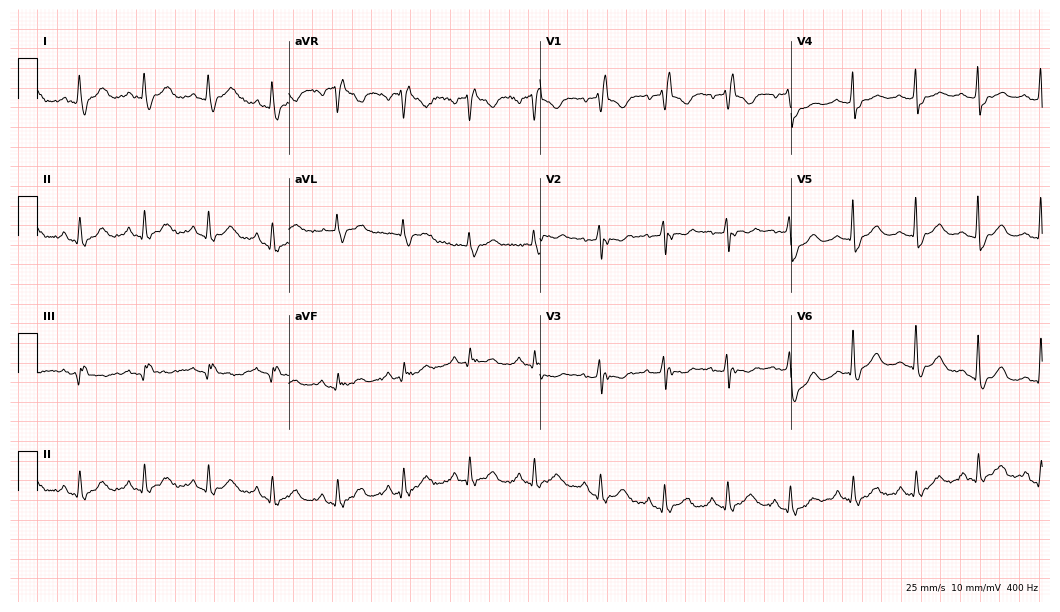
12-lead ECG (10.2-second recording at 400 Hz) from a female patient, 62 years old. Findings include right bundle branch block (RBBB).